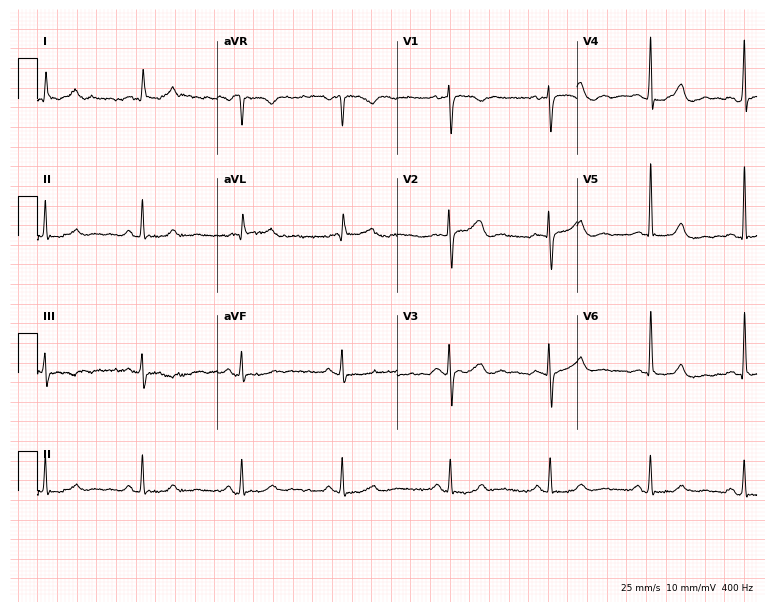
12-lead ECG (7.3-second recording at 400 Hz) from a 62-year-old female patient. Labelled as a normal ECG.